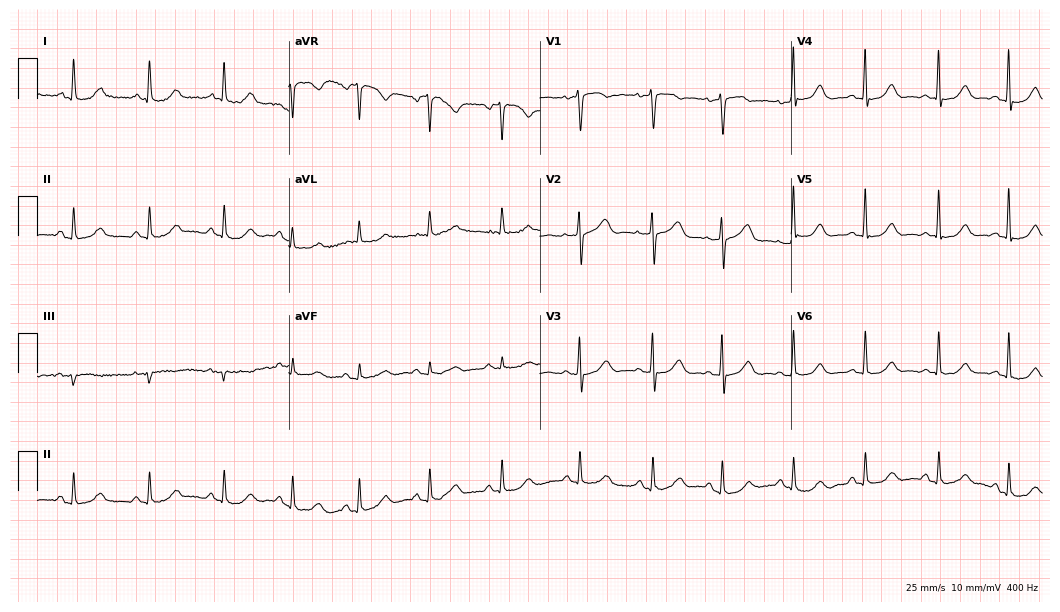
12-lead ECG from a 57-year-old woman. Recorded interpretation: within normal limits.